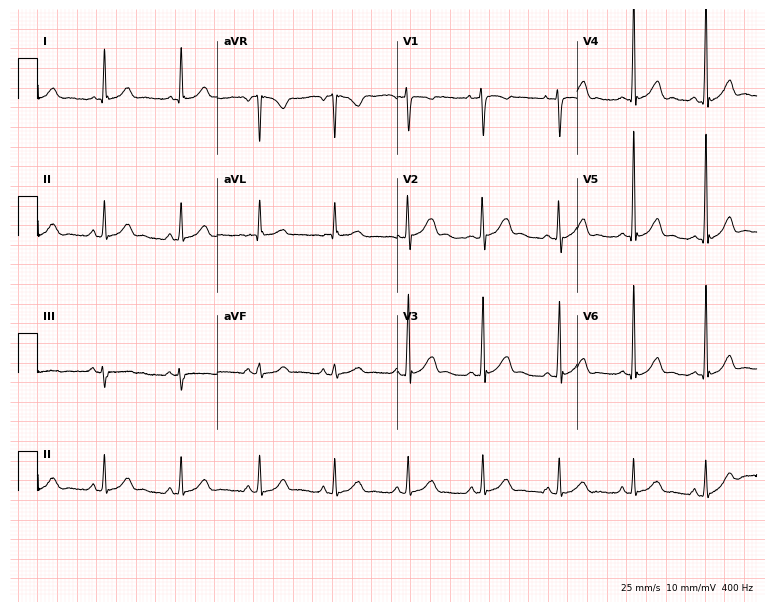
12-lead ECG from a 37-year-old female. Screened for six findings — first-degree AV block, right bundle branch block, left bundle branch block, sinus bradycardia, atrial fibrillation, sinus tachycardia — none is recorded. Only these six findings were labelled.